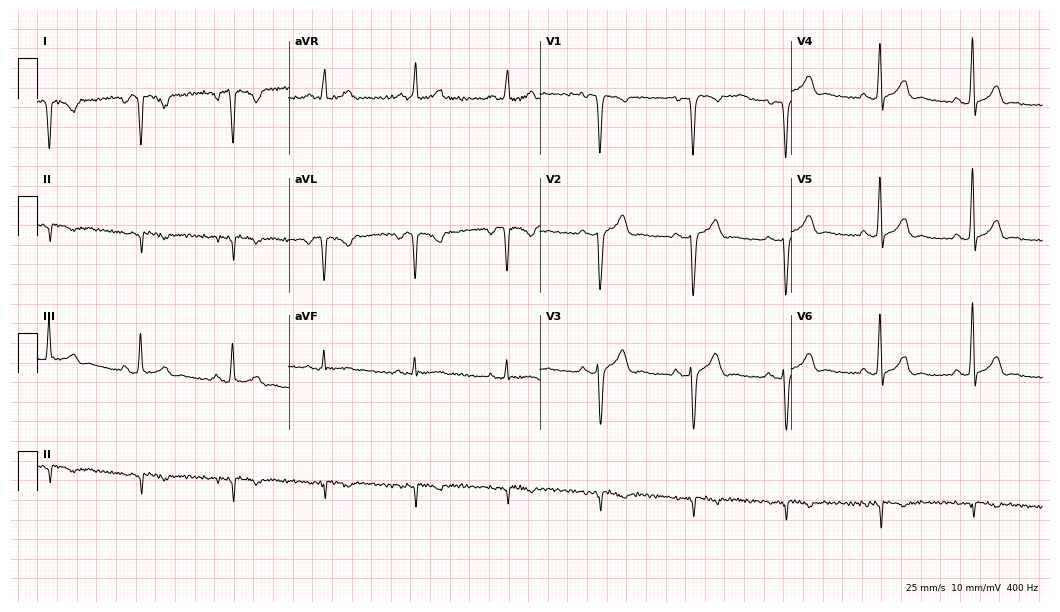
12-lead ECG (10.2-second recording at 400 Hz) from a 59-year-old male. Screened for six findings — first-degree AV block, right bundle branch block, left bundle branch block, sinus bradycardia, atrial fibrillation, sinus tachycardia — none is recorded.